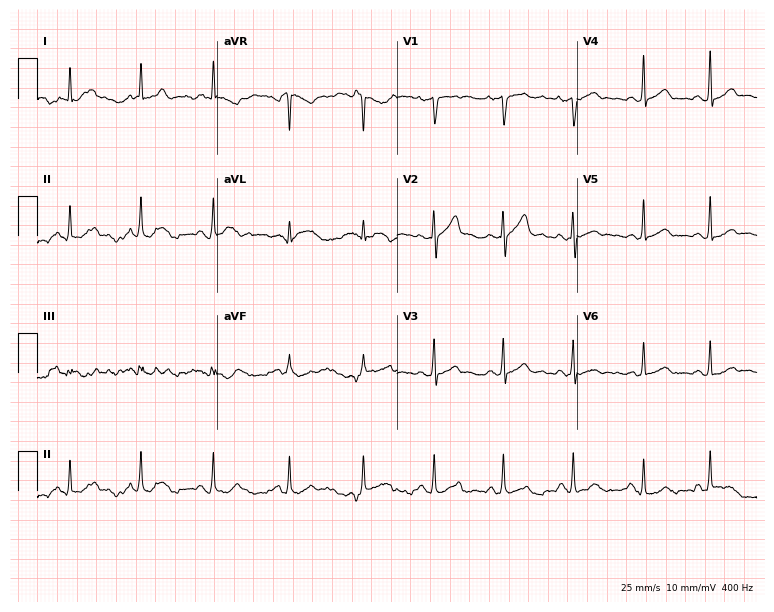
12-lead ECG from a 45-year-old male (7.3-second recording at 400 Hz). No first-degree AV block, right bundle branch block (RBBB), left bundle branch block (LBBB), sinus bradycardia, atrial fibrillation (AF) or sinus tachycardia recorded for this tracing.